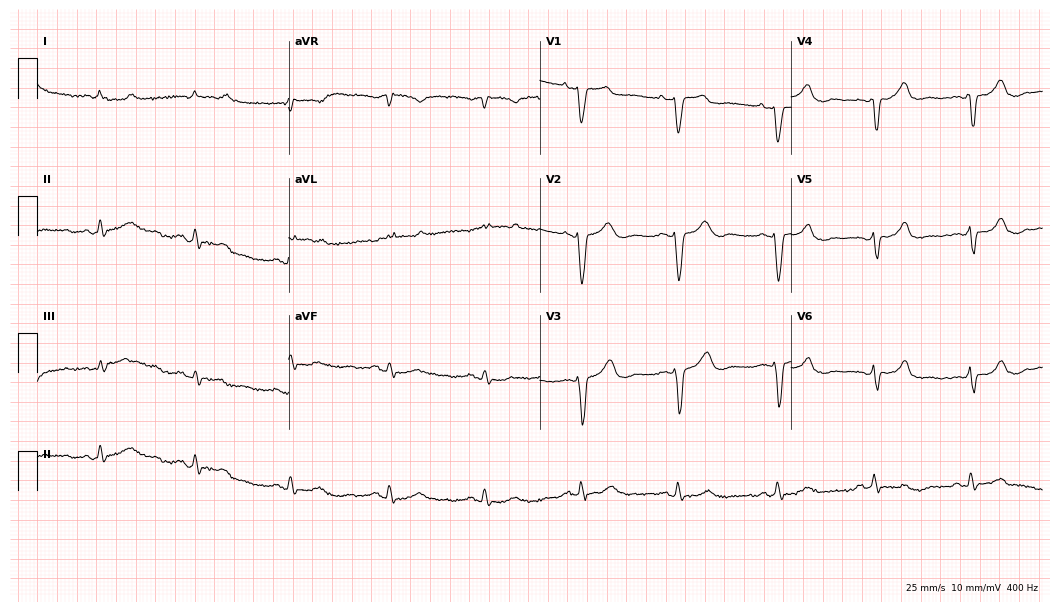
Standard 12-lead ECG recorded from a woman, 82 years old (10.2-second recording at 400 Hz). None of these six findings is recorded: first-degree AV block, right bundle branch block (RBBB), left bundle branch block (LBBB), sinus bradycardia, atrial fibrillation (AF), sinus tachycardia.